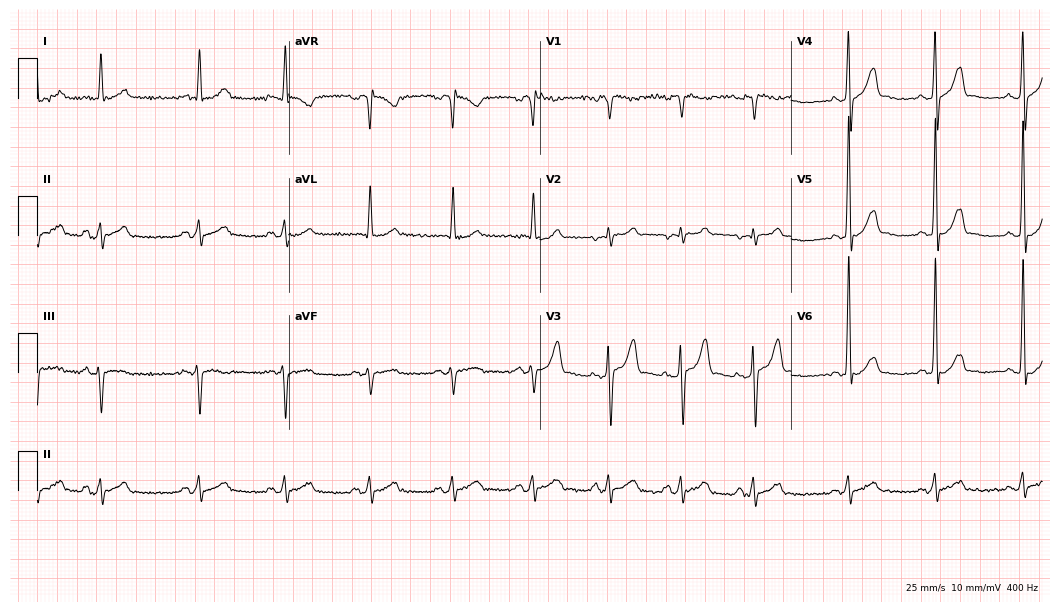
Standard 12-lead ECG recorded from a 60-year-old woman. None of these six findings is recorded: first-degree AV block, right bundle branch block, left bundle branch block, sinus bradycardia, atrial fibrillation, sinus tachycardia.